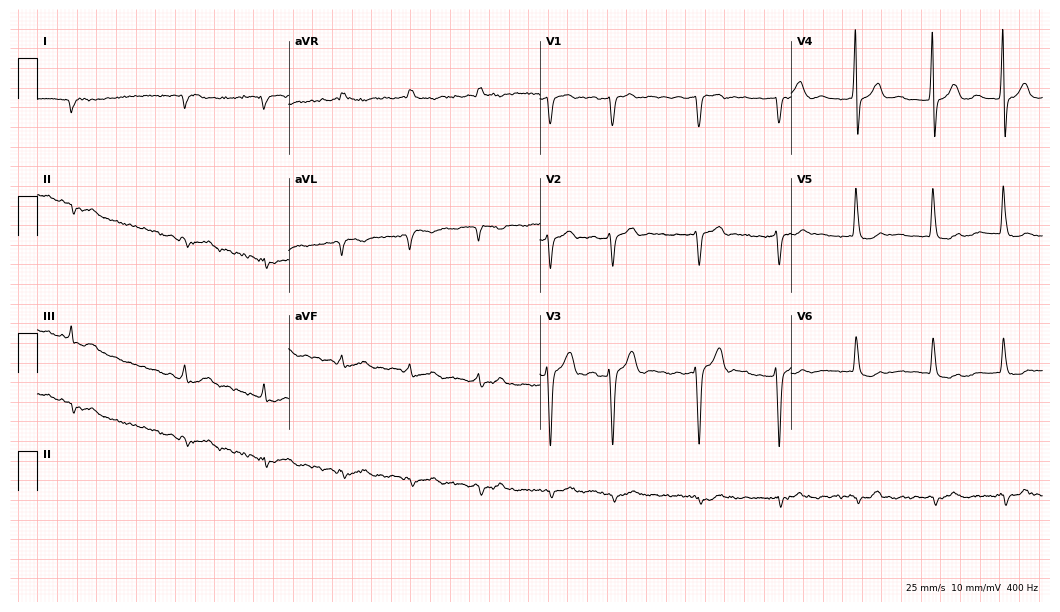
ECG — an 85-year-old male patient. Findings include atrial fibrillation.